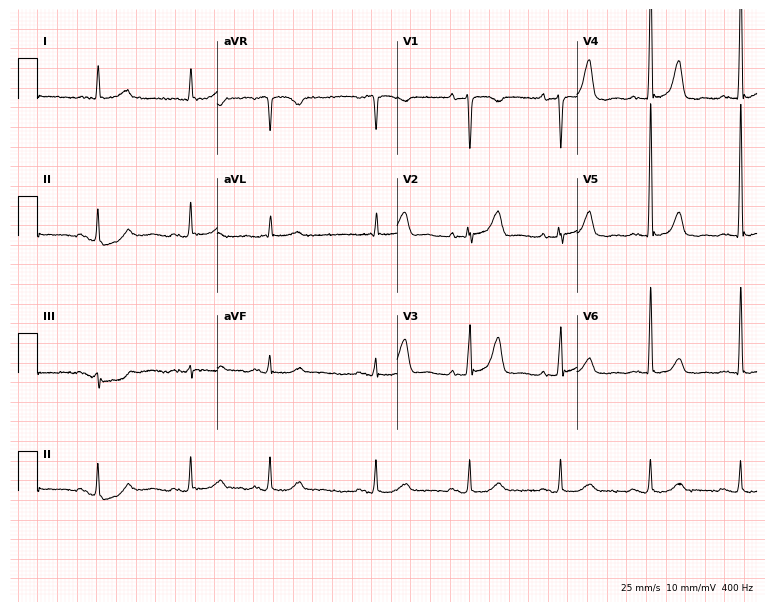
ECG (7.3-second recording at 400 Hz) — a 78-year-old woman. Screened for six findings — first-degree AV block, right bundle branch block, left bundle branch block, sinus bradycardia, atrial fibrillation, sinus tachycardia — none is recorded. Findings outside these six are not listed.